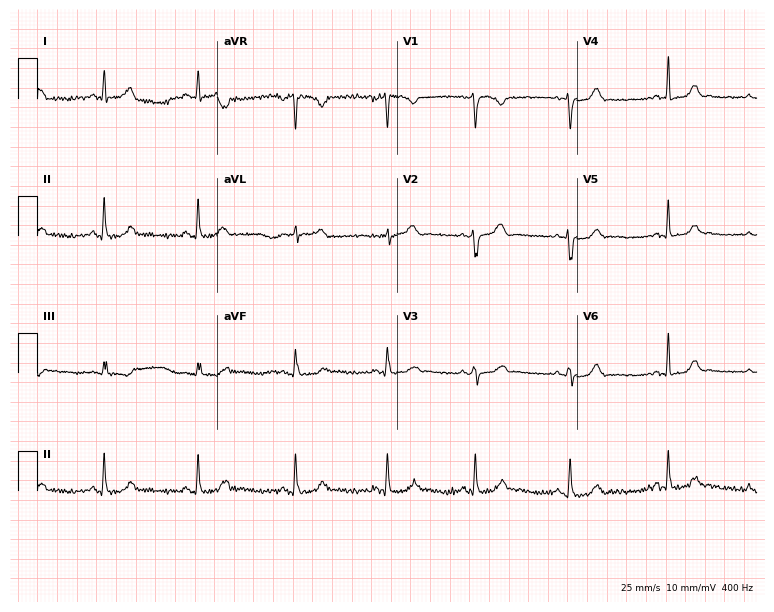
12-lead ECG from a 28-year-old female patient (7.3-second recording at 400 Hz). Recorded interpretation: within normal limits.